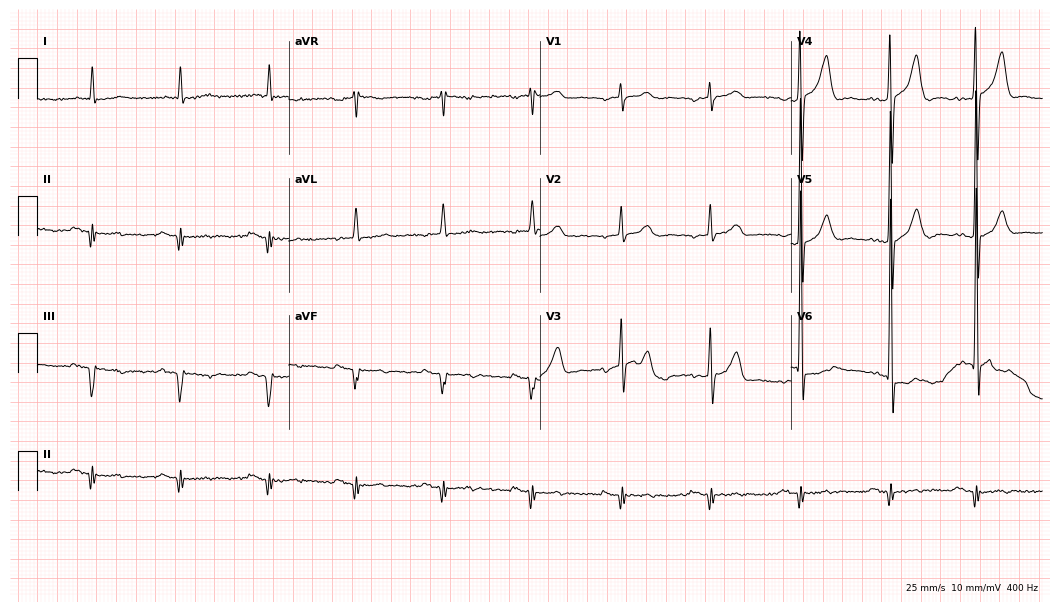
12-lead ECG from a man, 82 years old. Screened for six findings — first-degree AV block, right bundle branch block (RBBB), left bundle branch block (LBBB), sinus bradycardia, atrial fibrillation (AF), sinus tachycardia — none is recorded. Only these six findings were labelled.